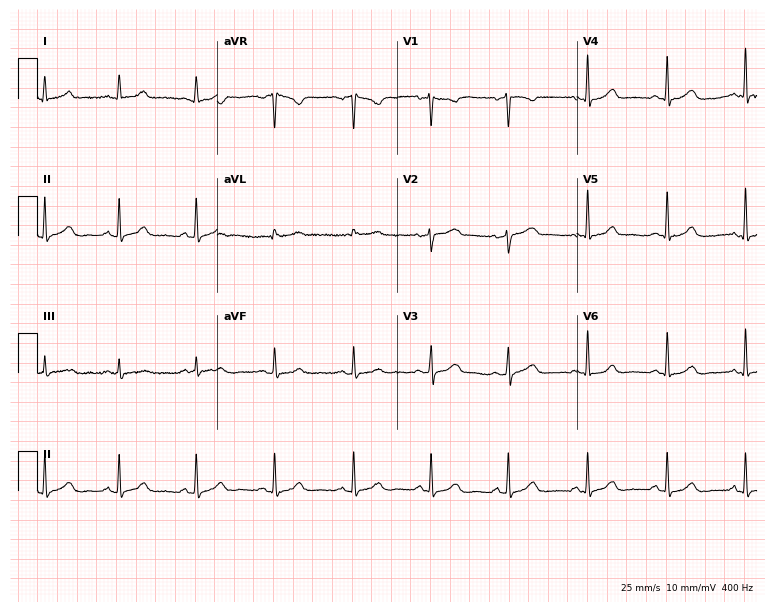
Resting 12-lead electrocardiogram (7.3-second recording at 400 Hz). Patient: a woman, 61 years old. Read as a normal ECG.